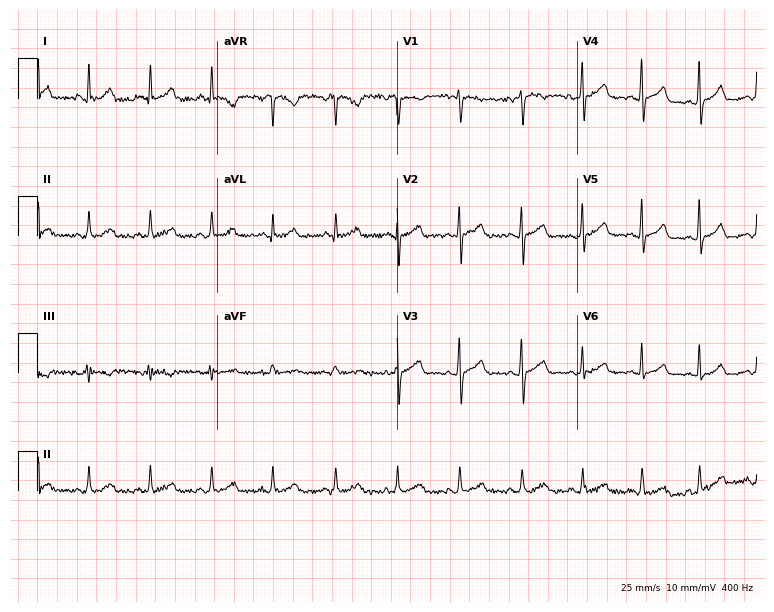
Resting 12-lead electrocardiogram (7.3-second recording at 400 Hz). Patient: a woman, 33 years old. Read as a normal ECG.